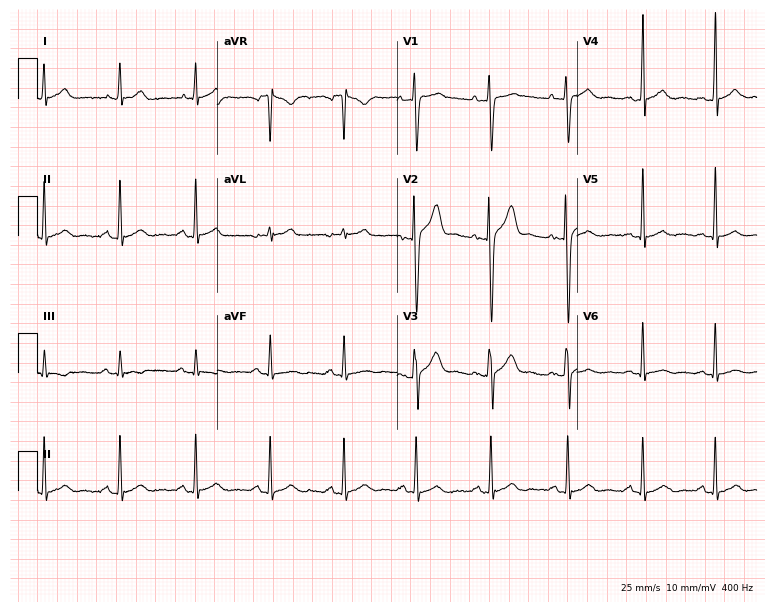
12-lead ECG from a male patient, 41 years old. Screened for six findings — first-degree AV block, right bundle branch block, left bundle branch block, sinus bradycardia, atrial fibrillation, sinus tachycardia — none is recorded. Other findings, if any, are not listed.